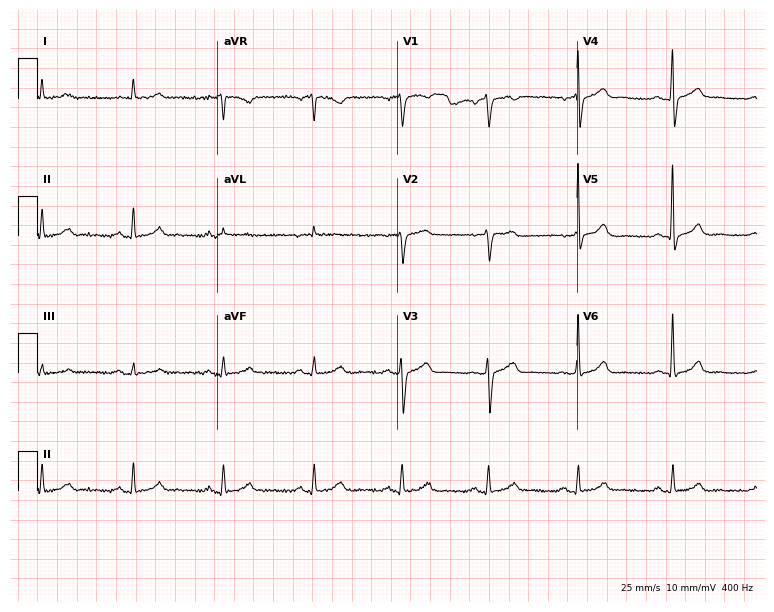
Resting 12-lead electrocardiogram (7.3-second recording at 400 Hz). Patient: a 79-year-old man. Read as a normal ECG.